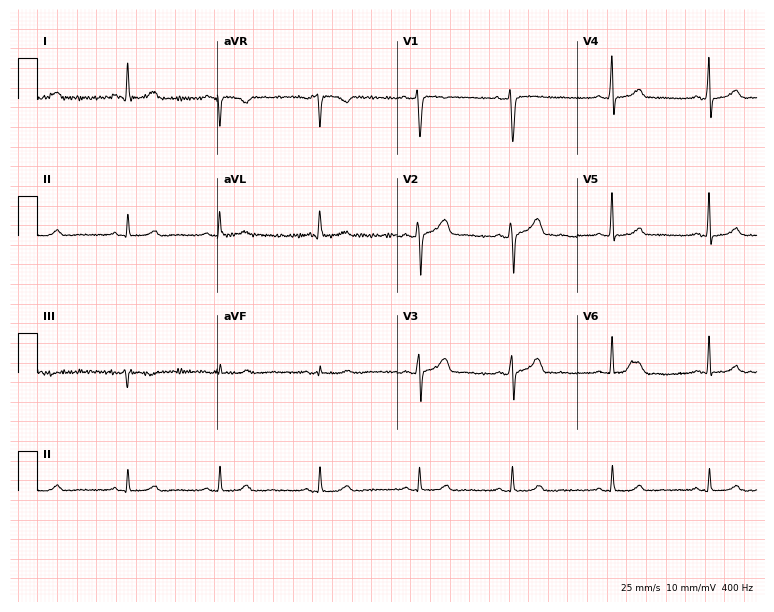
12-lead ECG from a female, 34 years old (7.3-second recording at 400 Hz). No first-degree AV block, right bundle branch block, left bundle branch block, sinus bradycardia, atrial fibrillation or sinus tachycardia recorded for this tracing. Other findings, if any, are not listed.